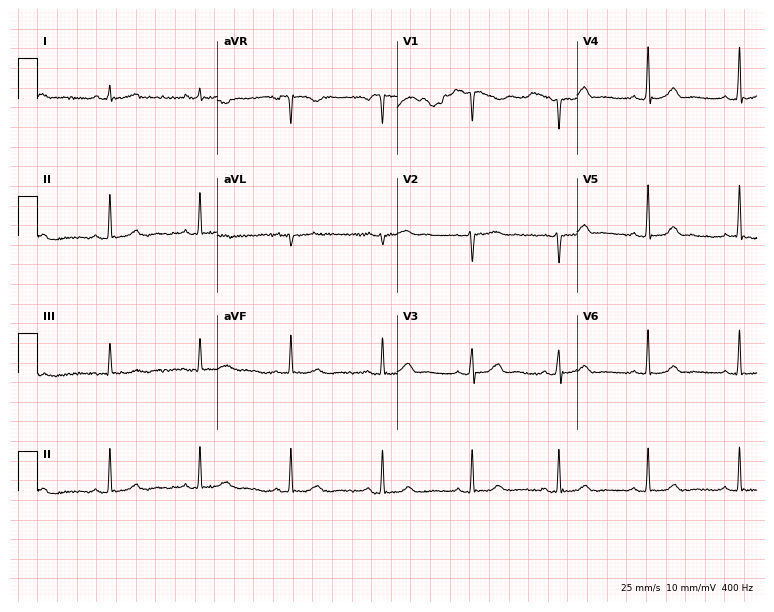
Electrocardiogram (7.3-second recording at 400 Hz), a 37-year-old female patient. Of the six screened findings (first-degree AV block, right bundle branch block, left bundle branch block, sinus bradycardia, atrial fibrillation, sinus tachycardia), none is recorded.